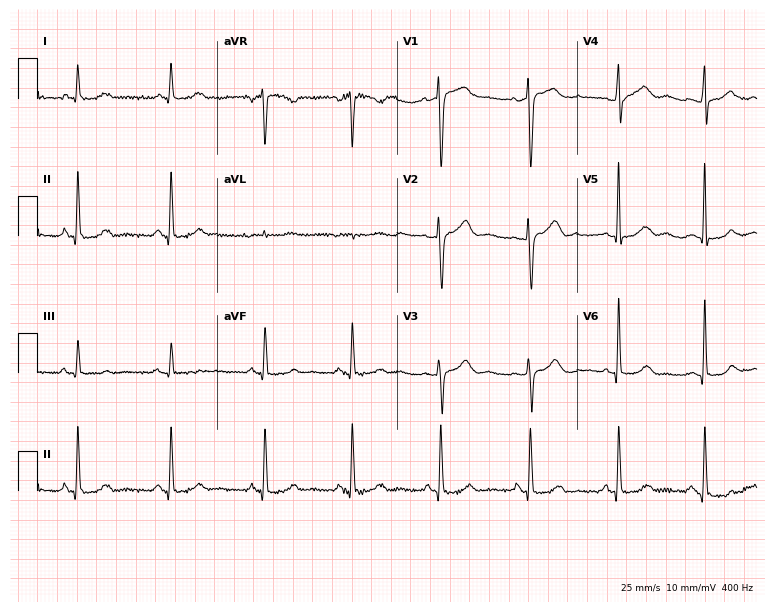
12-lead ECG from a 46-year-old woman. Screened for six findings — first-degree AV block, right bundle branch block, left bundle branch block, sinus bradycardia, atrial fibrillation, sinus tachycardia — none is recorded.